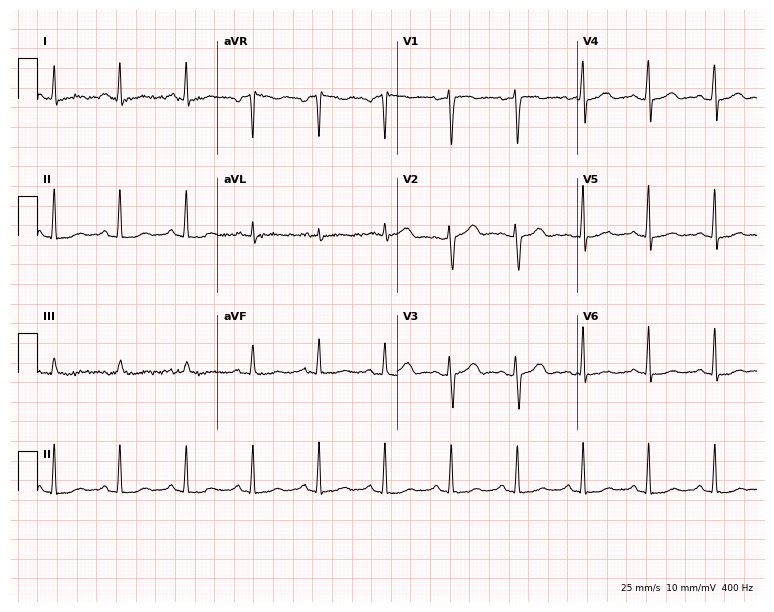
Standard 12-lead ECG recorded from a female, 47 years old. None of these six findings is recorded: first-degree AV block, right bundle branch block (RBBB), left bundle branch block (LBBB), sinus bradycardia, atrial fibrillation (AF), sinus tachycardia.